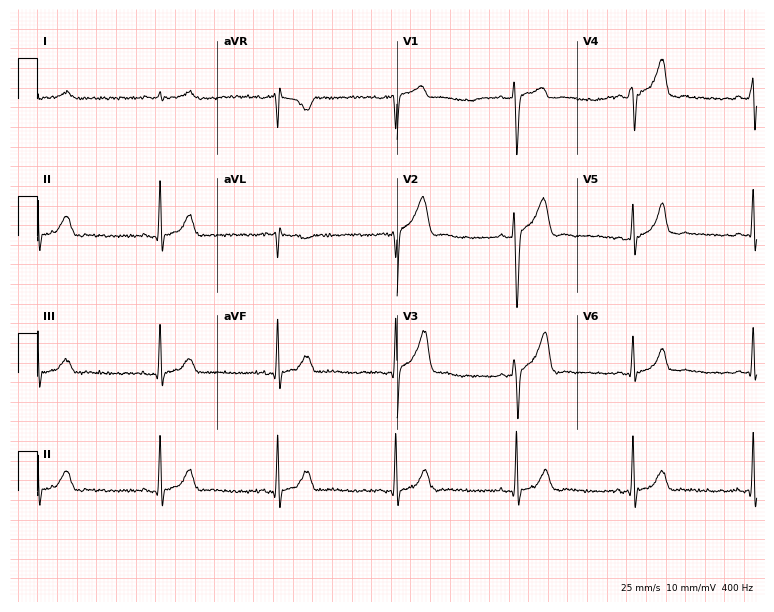
ECG — a 58-year-old man. Screened for six findings — first-degree AV block, right bundle branch block, left bundle branch block, sinus bradycardia, atrial fibrillation, sinus tachycardia — none is recorded.